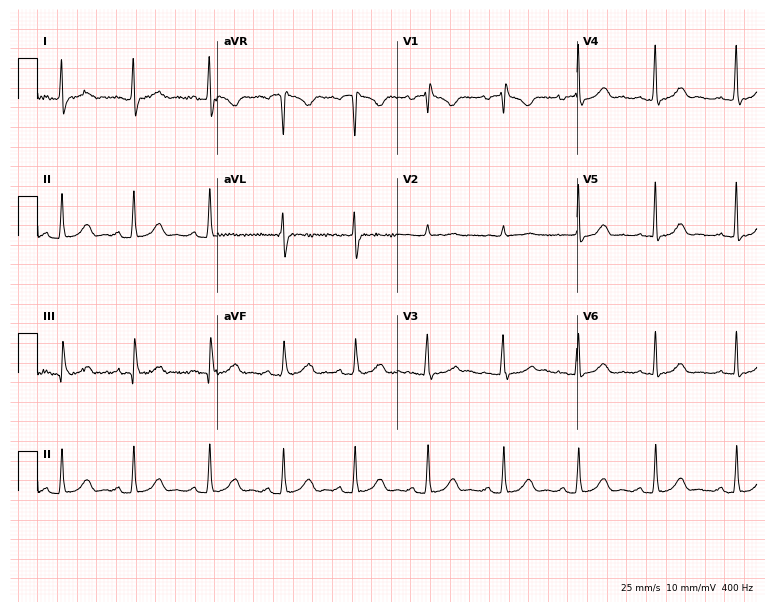
12-lead ECG from a 37-year-old woman. No first-degree AV block, right bundle branch block, left bundle branch block, sinus bradycardia, atrial fibrillation or sinus tachycardia recorded for this tracing. Findings outside these six are not listed.